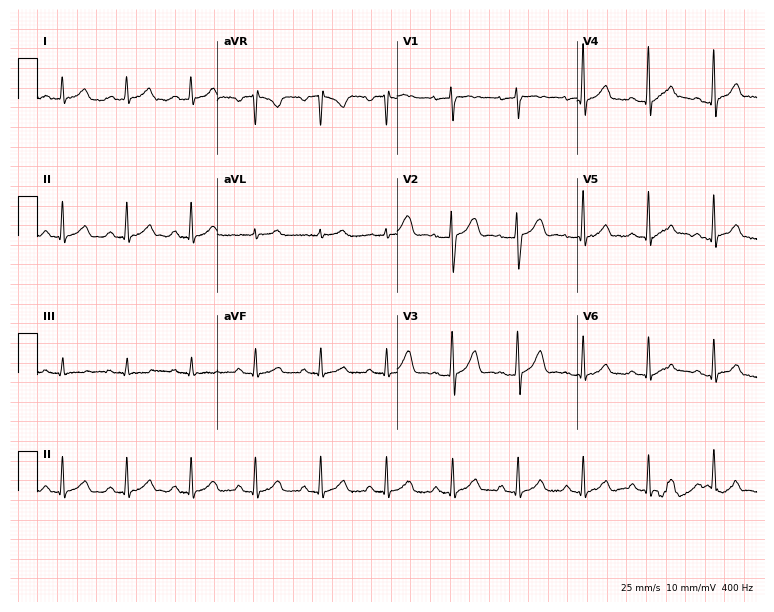
Resting 12-lead electrocardiogram (7.3-second recording at 400 Hz). Patient: a 37-year-old female. Read as a normal ECG.